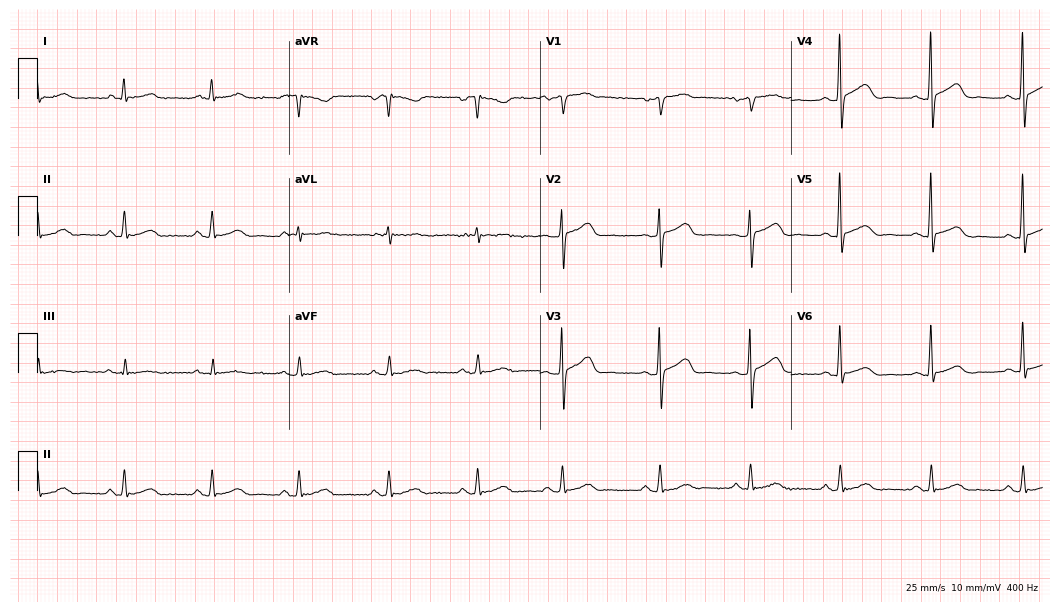
Resting 12-lead electrocardiogram. Patient: a male, 70 years old. Read as a normal ECG.